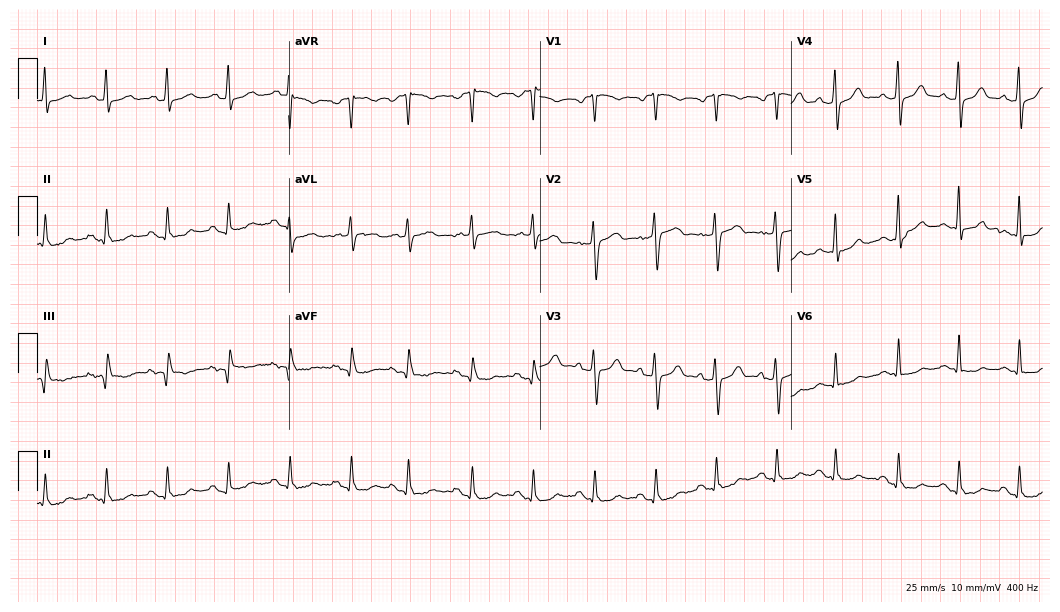
ECG (10.2-second recording at 400 Hz) — a 78-year-old male patient. Screened for six findings — first-degree AV block, right bundle branch block, left bundle branch block, sinus bradycardia, atrial fibrillation, sinus tachycardia — none is recorded. Other findings, if any, are not listed.